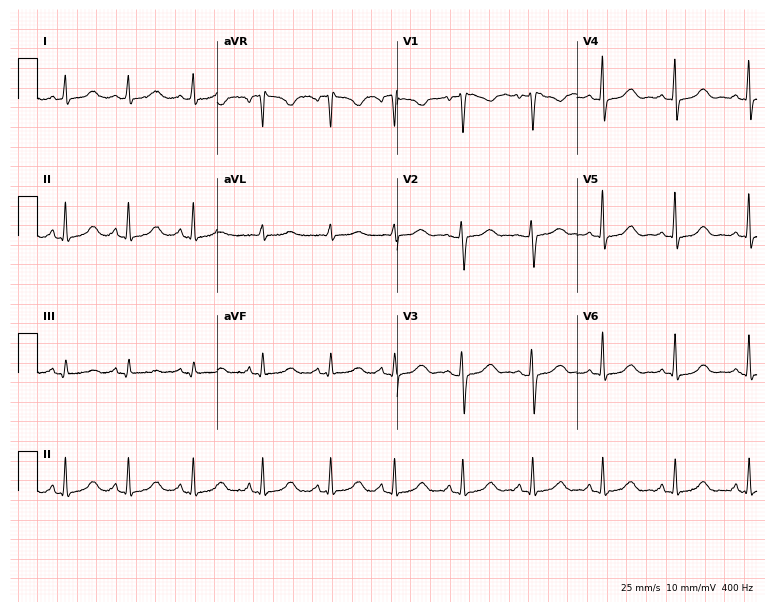
ECG — a female patient, 51 years old. Labelled as a normal ECG.